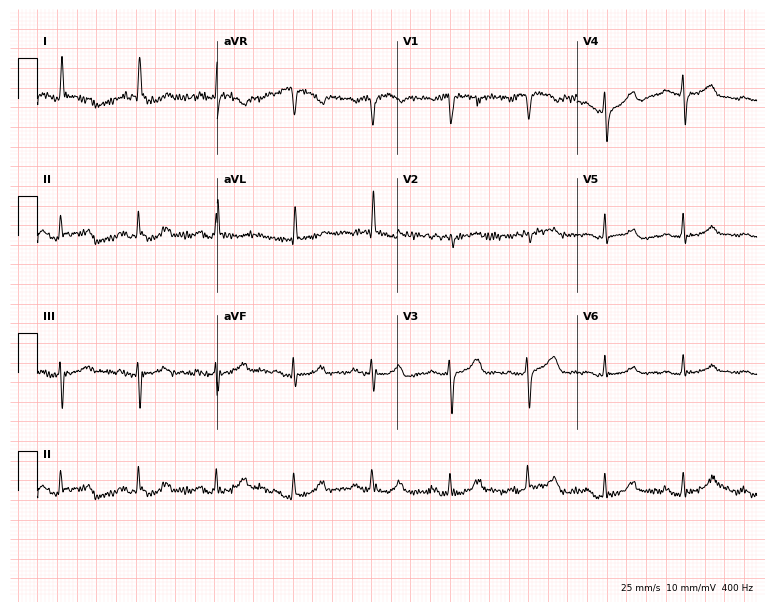
12-lead ECG from a 75-year-old woman (7.3-second recording at 400 Hz). Recorded interpretation: within normal limits.